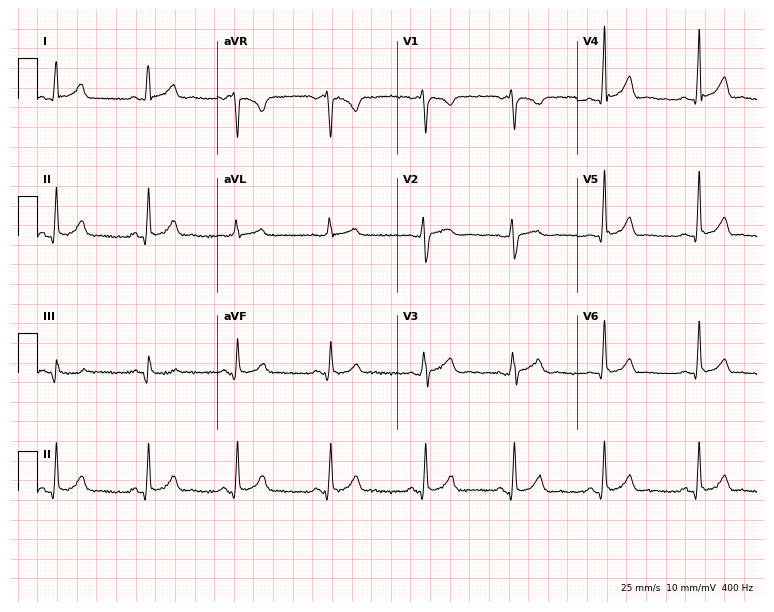
ECG — a female, 29 years old. Labelled as a normal ECG.